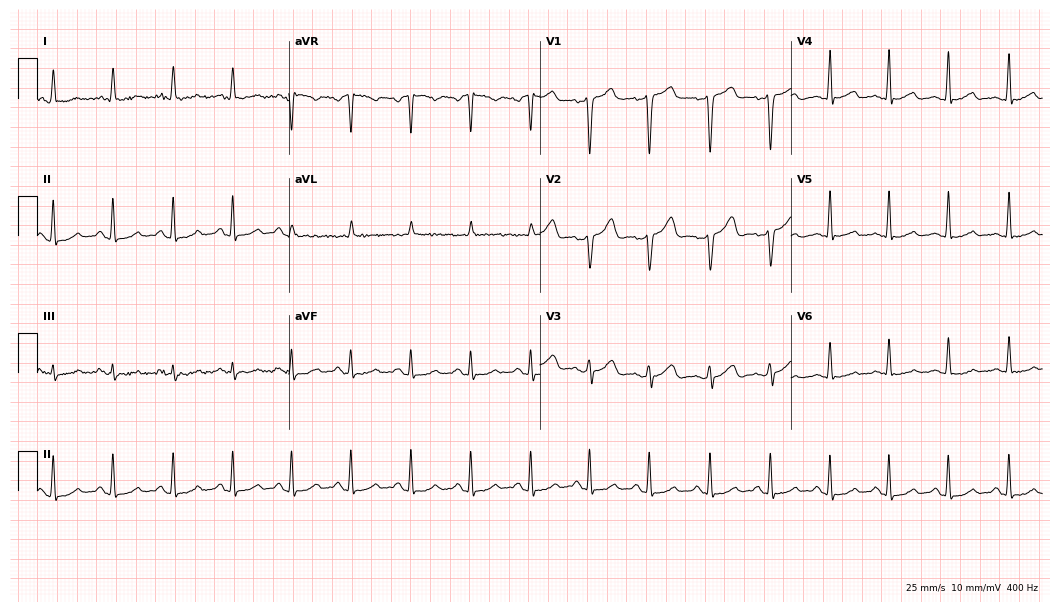
Electrocardiogram (10.2-second recording at 400 Hz), a 52-year-old female. Overall reading on record: normal ECG.